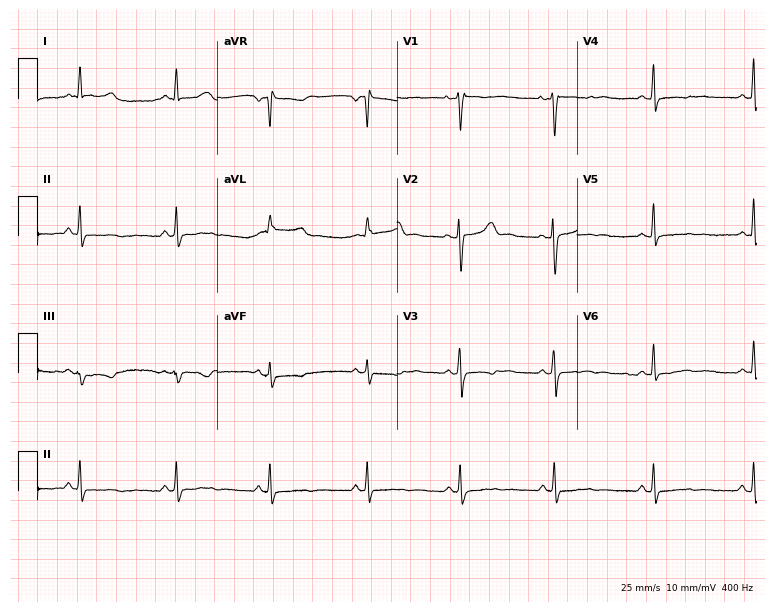
12-lead ECG (7.3-second recording at 400 Hz) from a 40-year-old woman. Screened for six findings — first-degree AV block, right bundle branch block, left bundle branch block, sinus bradycardia, atrial fibrillation, sinus tachycardia — none is recorded. Only these six findings were labelled.